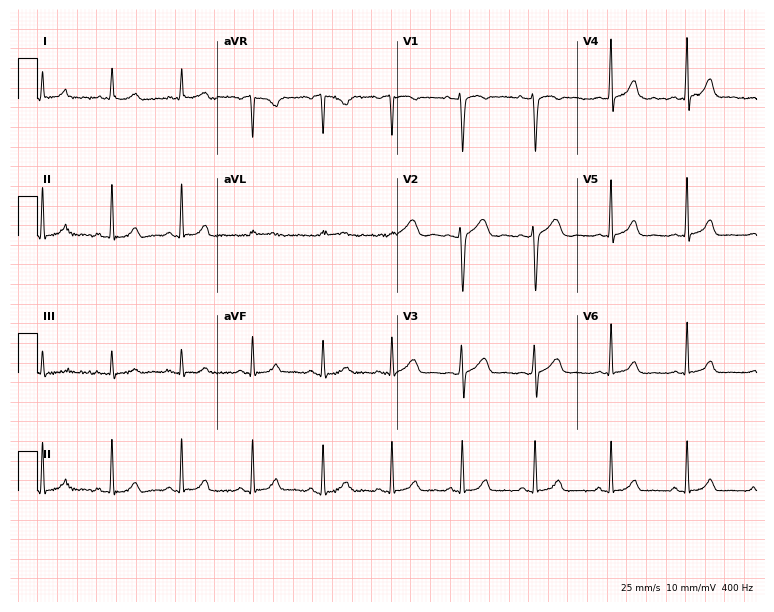
ECG (7.3-second recording at 400 Hz) — a 20-year-old female. Screened for six findings — first-degree AV block, right bundle branch block (RBBB), left bundle branch block (LBBB), sinus bradycardia, atrial fibrillation (AF), sinus tachycardia — none is recorded.